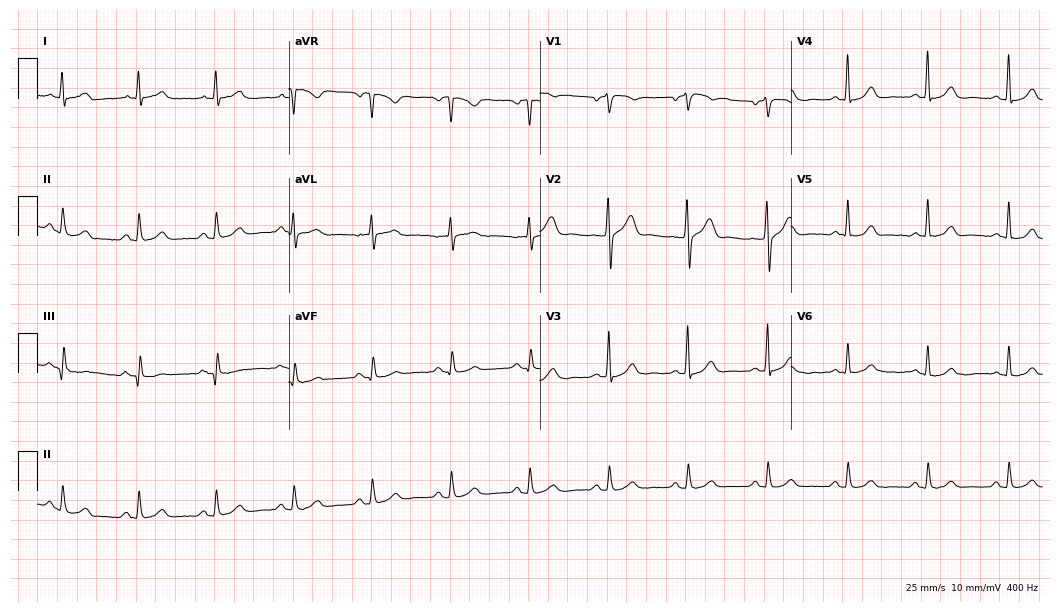
12-lead ECG (10.2-second recording at 400 Hz) from a 57-year-old man. Labelled as a normal ECG.